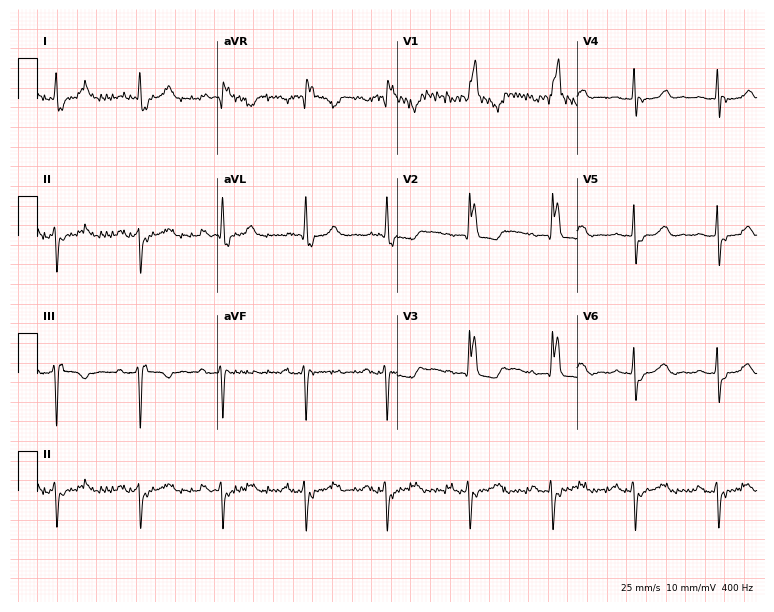
ECG — an 84-year-old female. Findings include right bundle branch block.